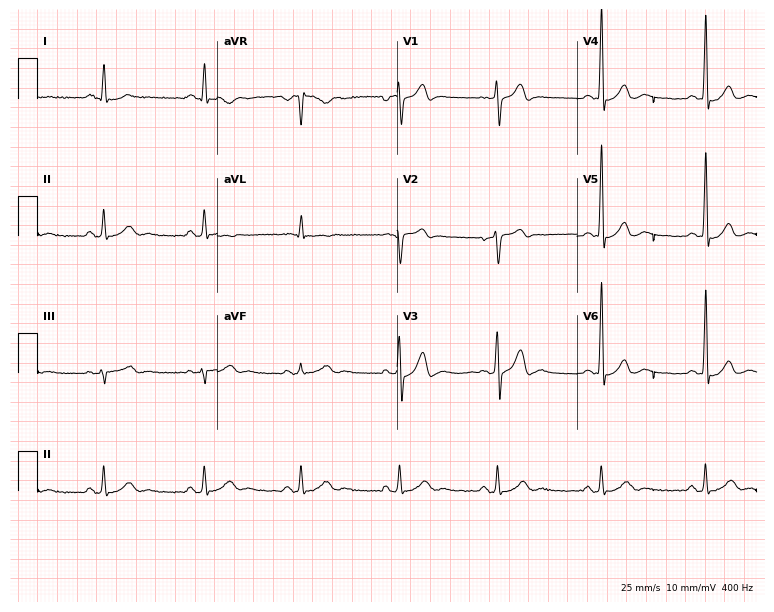
Standard 12-lead ECG recorded from a male patient, 57 years old. None of these six findings is recorded: first-degree AV block, right bundle branch block (RBBB), left bundle branch block (LBBB), sinus bradycardia, atrial fibrillation (AF), sinus tachycardia.